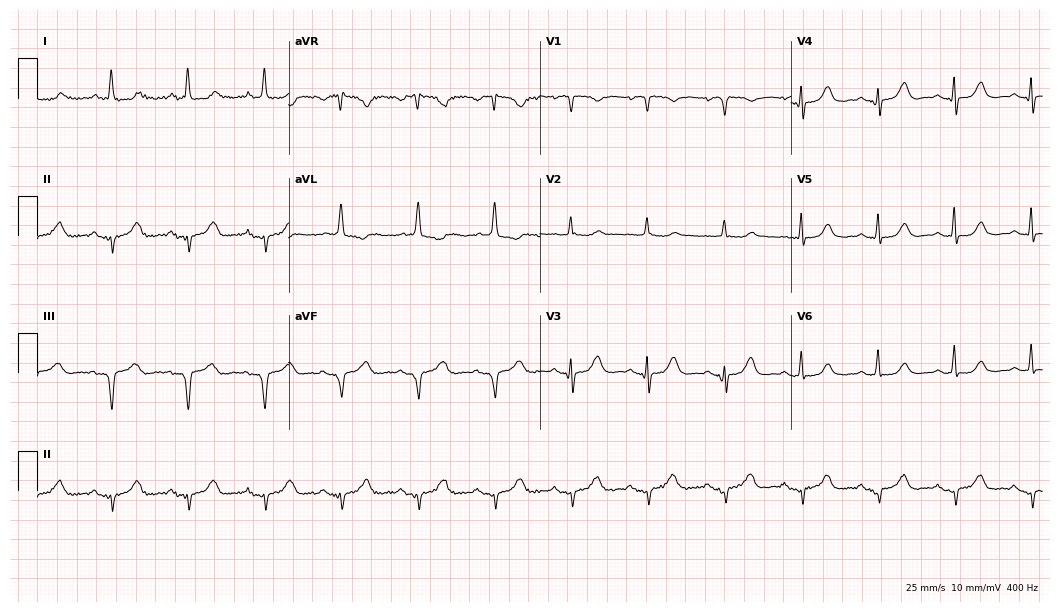
ECG (10.2-second recording at 400 Hz) — a female patient, 49 years old. Screened for six findings — first-degree AV block, right bundle branch block (RBBB), left bundle branch block (LBBB), sinus bradycardia, atrial fibrillation (AF), sinus tachycardia — none is recorded.